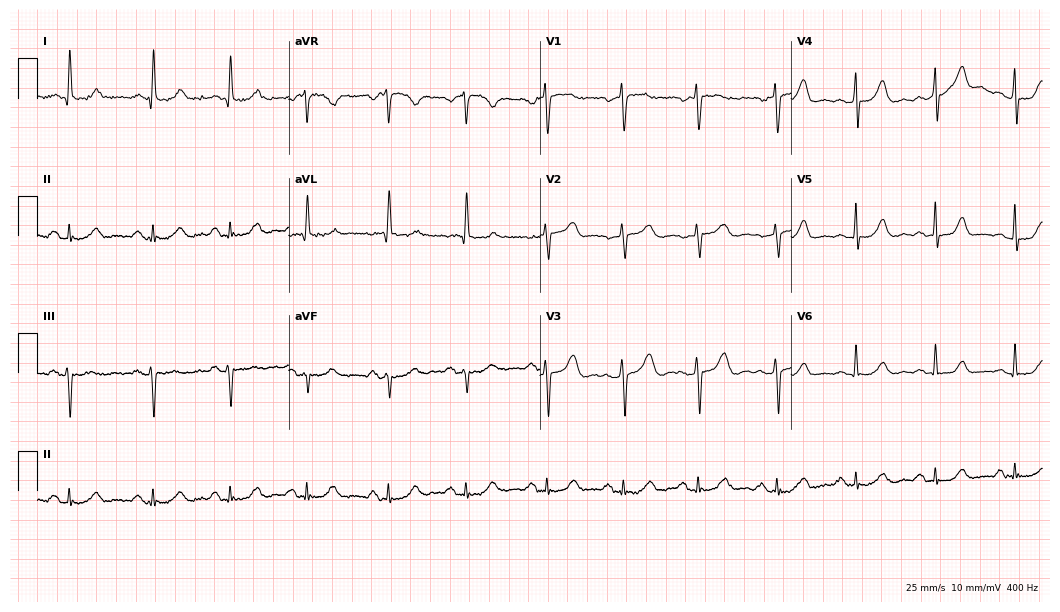
Electrocardiogram (10.2-second recording at 400 Hz), a 68-year-old female. Overall reading on record: normal ECG.